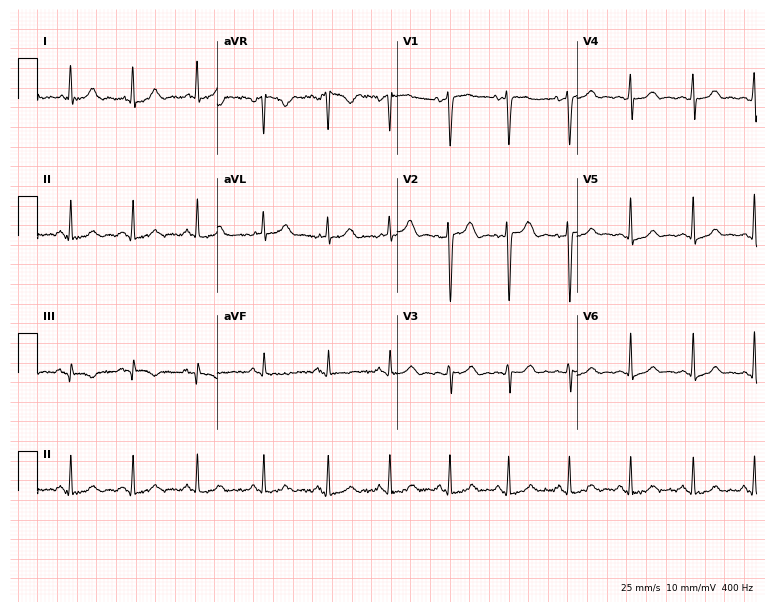
Electrocardiogram, a 41-year-old female patient. Overall reading on record: normal ECG.